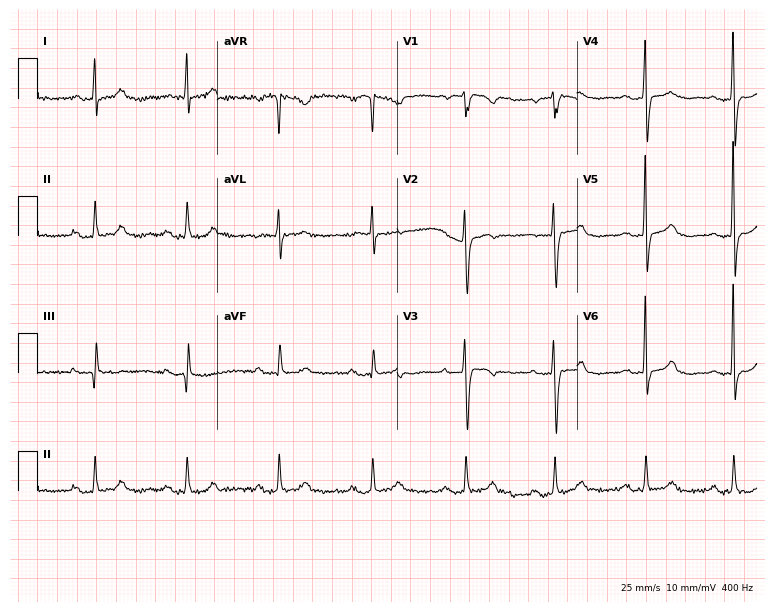
12-lead ECG (7.3-second recording at 400 Hz) from a woman, 61 years old. Findings include first-degree AV block.